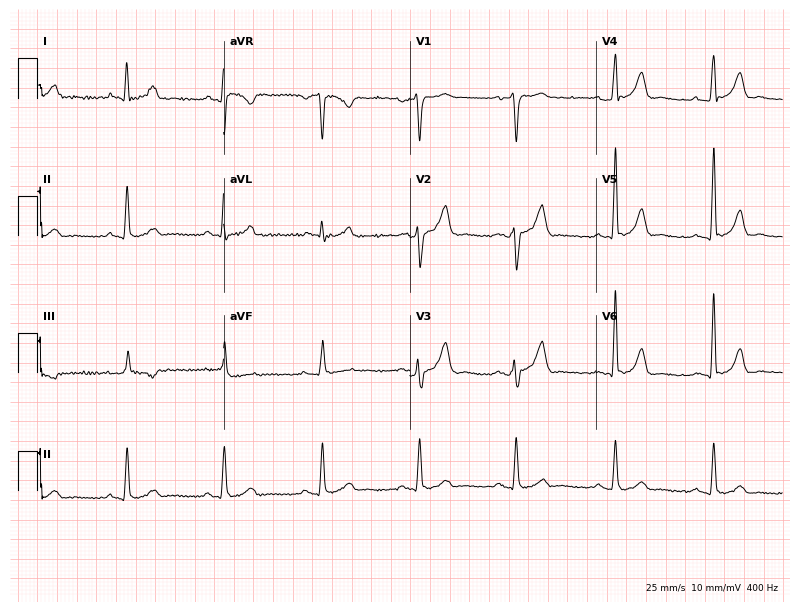
Standard 12-lead ECG recorded from a male patient, 47 years old. None of these six findings is recorded: first-degree AV block, right bundle branch block (RBBB), left bundle branch block (LBBB), sinus bradycardia, atrial fibrillation (AF), sinus tachycardia.